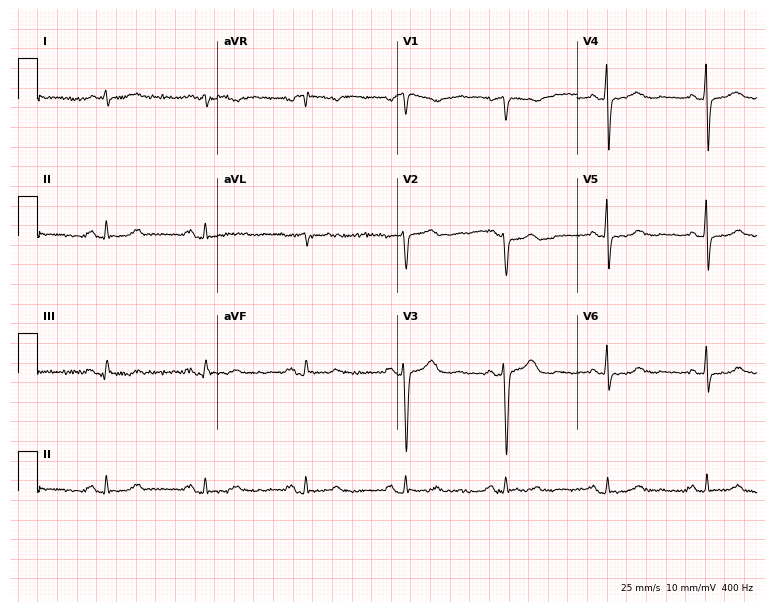
Standard 12-lead ECG recorded from a female, 69 years old. None of these six findings is recorded: first-degree AV block, right bundle branch block, left bundle branch block, sinus bradycardia, atrial fibrillation, sinus tachycardia.